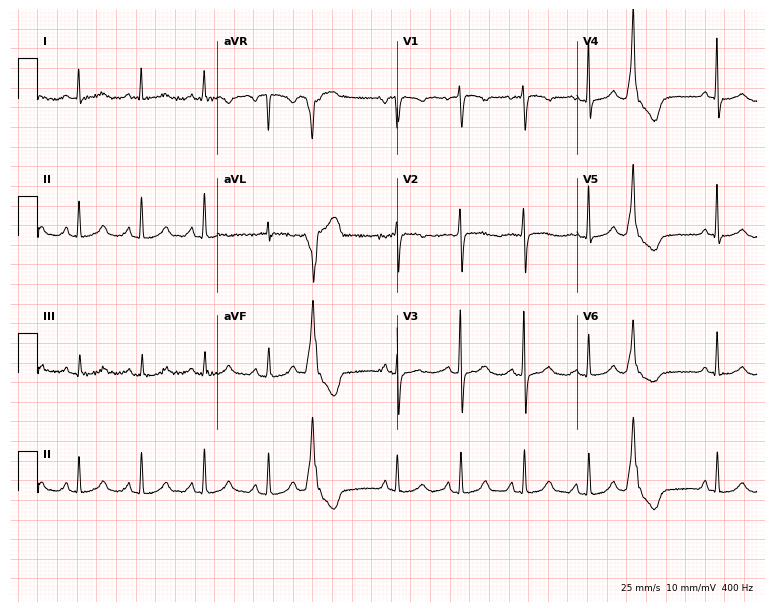
12-lead ECG from a female patient, 70 years old. Screened for six findings — first-degree AV block, right bundle branch block, left bundle branch block, sinus bradycardia, atrial fibrillation, sinus tachycardia — none is recorded. Other findings, if any, are not listed.